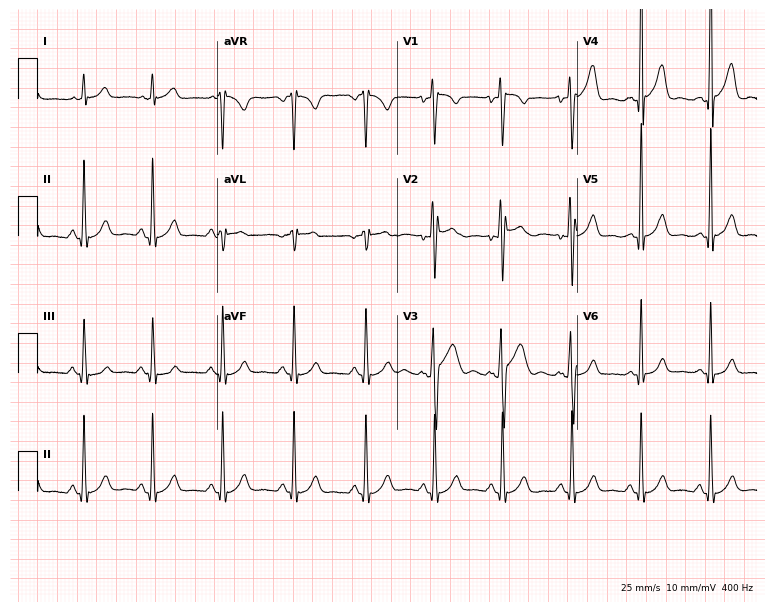
12-lead ECG from a 24-year-old man. No first-degree AV block, right bundle branch block, left bundle branch block, sinus bradycardia, atrial fibrillation or sinus tachycardia recorded for this tracing.